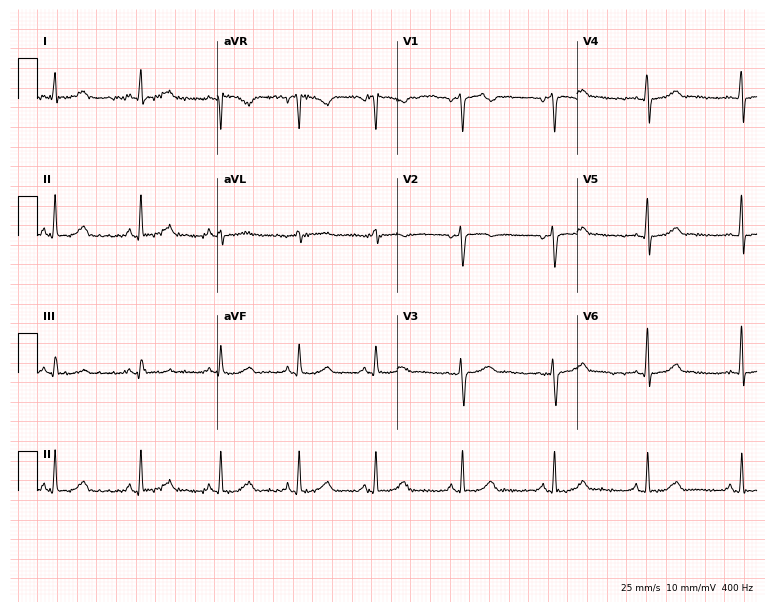
Resting 12-lead electrocardiogram (7.3-second recording at 400 Hz). Patient: a 40-year-old female. None of these six findings is recorded: first-degree AV block, right bundle branch block, left bundle branch block, sinus bradycardia, atrial fibrillation, sinus tachycardia. Only these six findings were labelled.